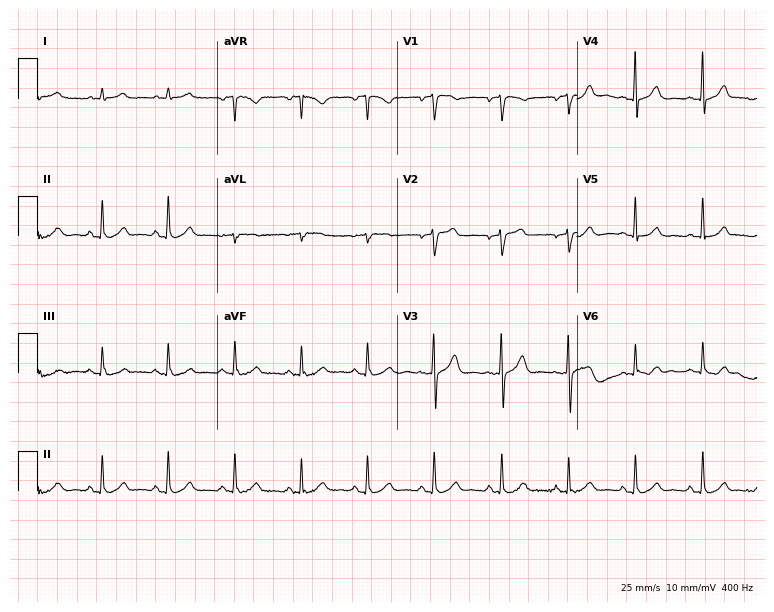
Standard 12-lead ECG recorded from a 67-year-old woman. Read as a normal ECG.